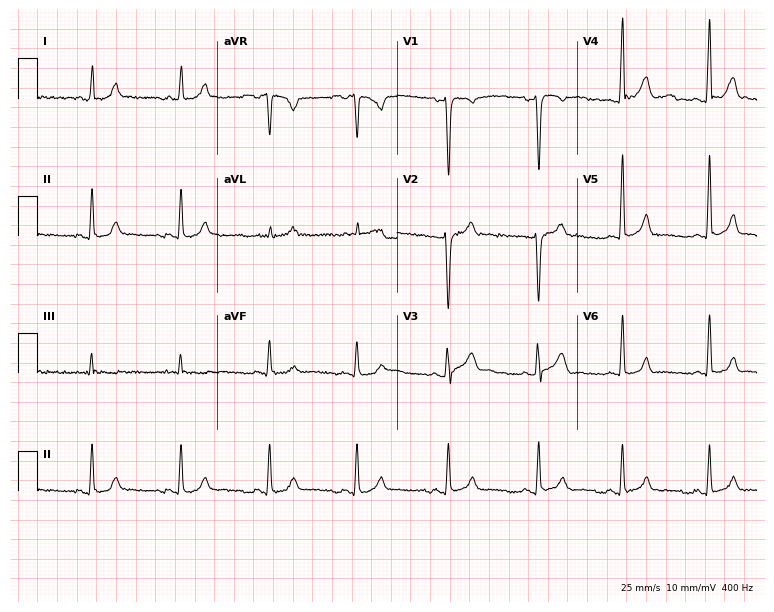
12-lead ECG (7.3-second recording at 400 Hz) from a 30-year-old man. Labelled as a normal ECG.